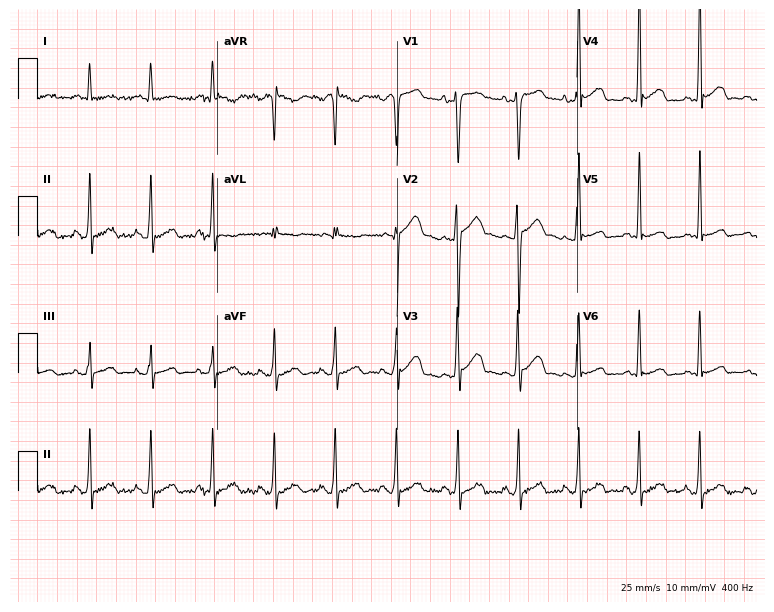
ECG (7.3-second recording at 400 Hz) — a male patient, 29 years old. Screened for six findings — first-degree AV block, right bundle branch block (RBBB), left bundle branch block (LBBB), sinus bradycardia, atrial fibrillation (AF), sinus tachycardia — none is recorded.